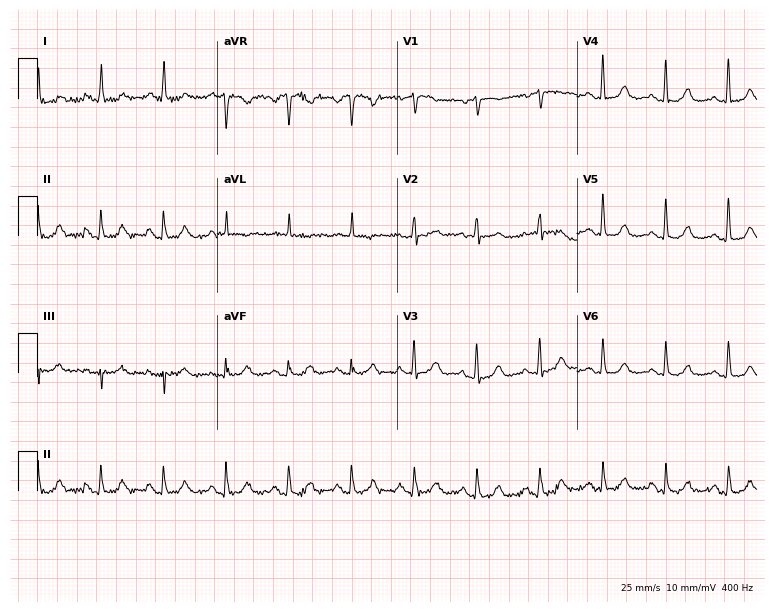
Standard 12-lead ECG recorded from a 61-year-old woman. Read as a normal ECG.